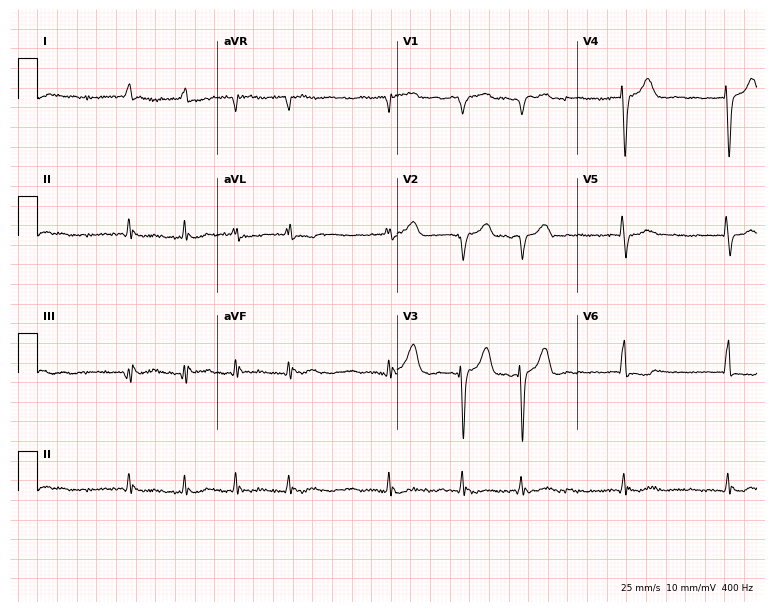
Standard 12-lead ECG recorded from a 75-year-old male. The tracing shows atrial fibrillation.